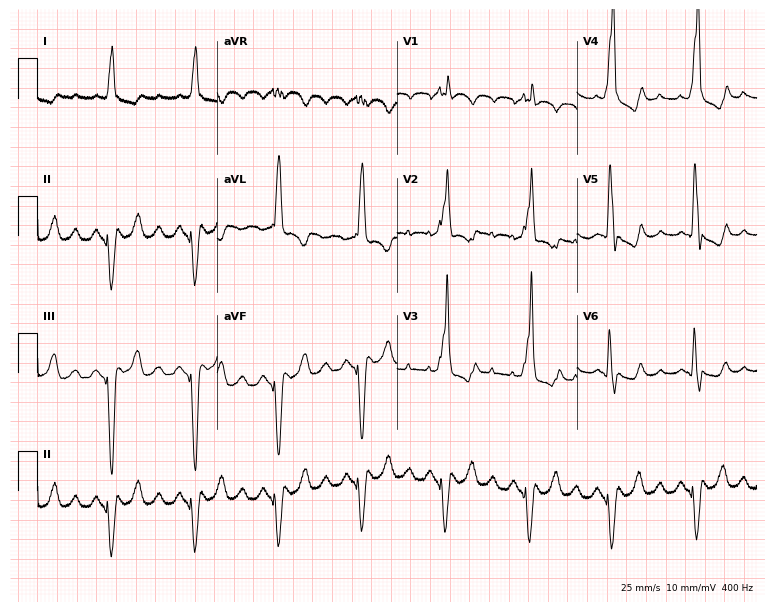
ECG (7.3-second recording at 400 Hz) — a male, 79 years old. Findings include right bundle branch block.